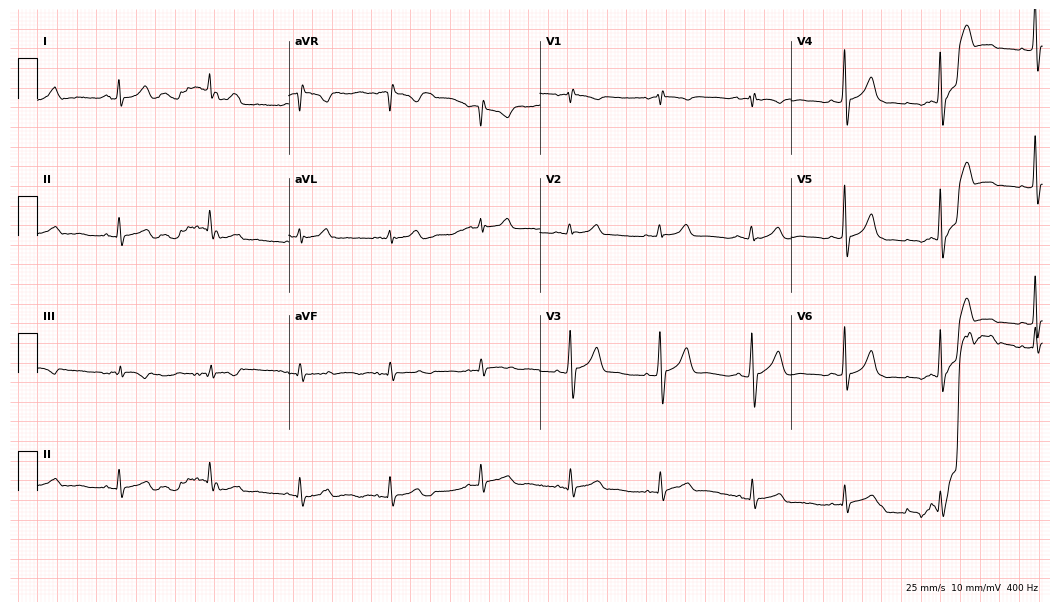
Resting 12-lead electrocardiogram (10.2-second recording at 400 Hz). Patient: a man, 63 years old. Read as a normal ECG.